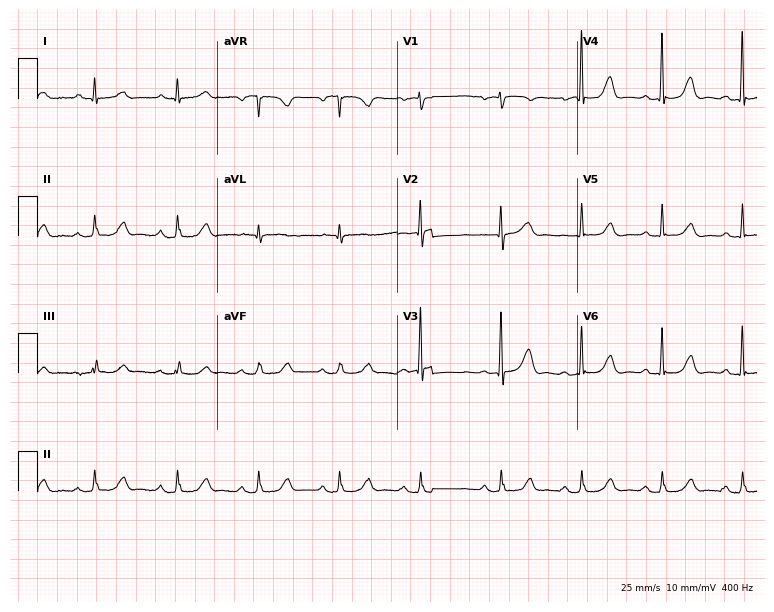
Resting 12-lead electrocardiogram (7.3-second recording at 400 Hz). Patient: an 85-year-old male. Read as a normal ECG.